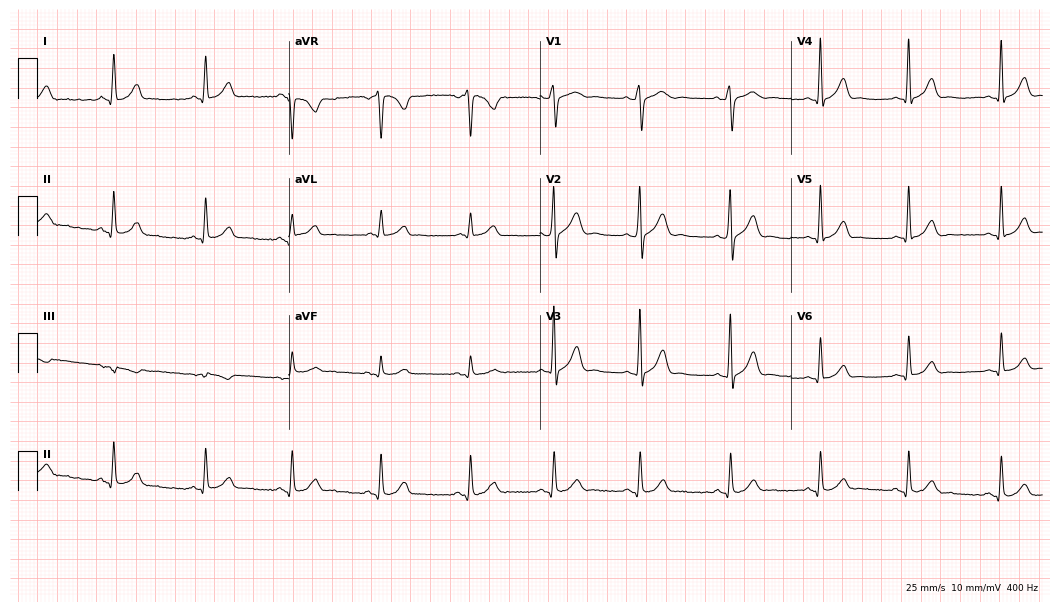
Resting 12-lead electrocardiogram (10.2-second recording at 400 Hz). Patient: a 34-year-old man. Read as a normal ECG.